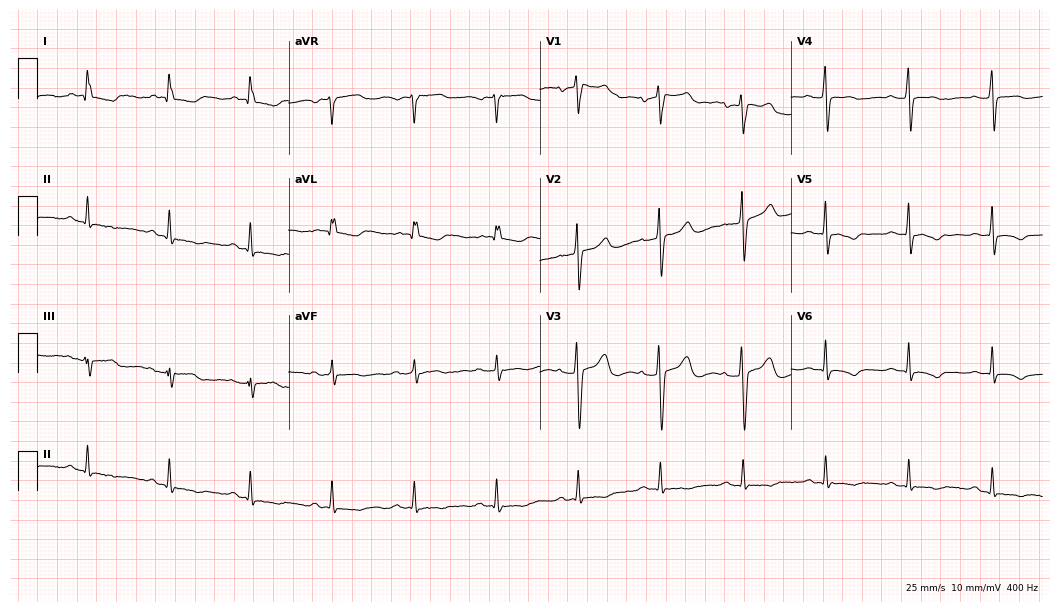
12-lead ECG from a female patient, 69 years old. No first-degree AV block, right bundle branch block (RBBB), left bundle branch block (LBBB), sinus bradycardia, atrial fibrillation (AF) or sinus tachycardia recorded for this tracing.